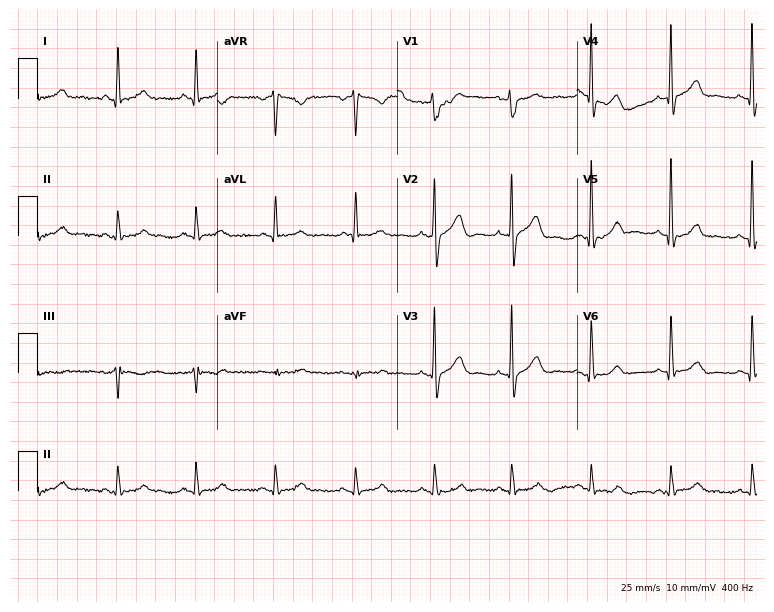
12-lead ECG from a 54-year-old male patient. Screened for six findings — first-degree AV block, right bundle branch block (RBBB), left bundle branch block (LBBB), sinus bradycardia, atrial fibrillation (AF), sinus tachycardia — none is recorded.